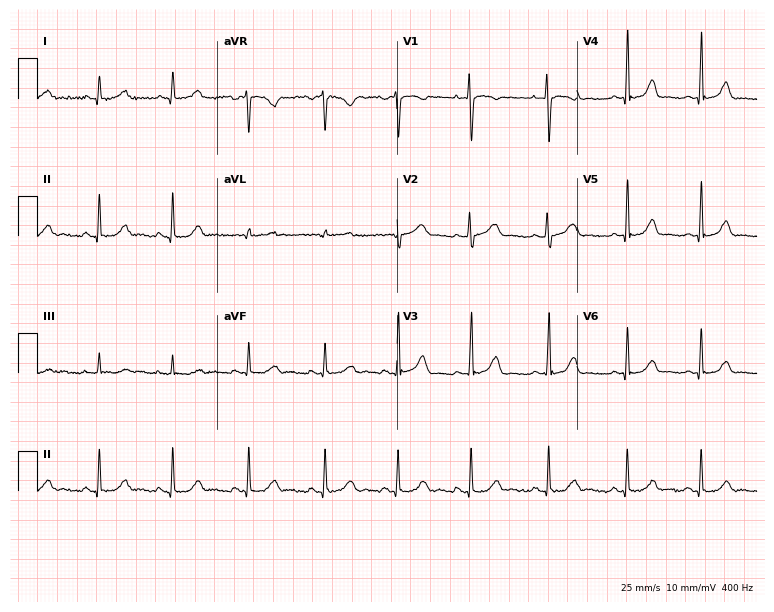
Electrocardiogram (7.3-second recording at 400 Hz), a female patient, 28 years old. Of the six screened findings (first-degree AV block, right bundle branch block, left bundle branch block, sinus bradycardia, atrial fibrillation, sinus tachycardia), none is recorded. Only these six findings were labelled.